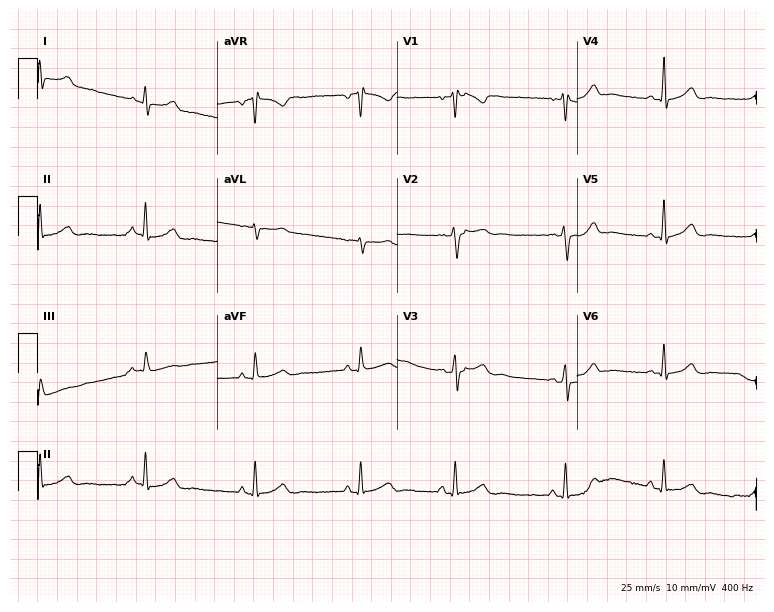
Electrocardiogram, a female, 24 years old. Of the six screened findings (first-degree AV block, right bundle branch block (RBBB), left bundle branch block (LBBB), sinus bradycardia, atrial fibrillation (AF), sinus tachycardia), none is recorded.